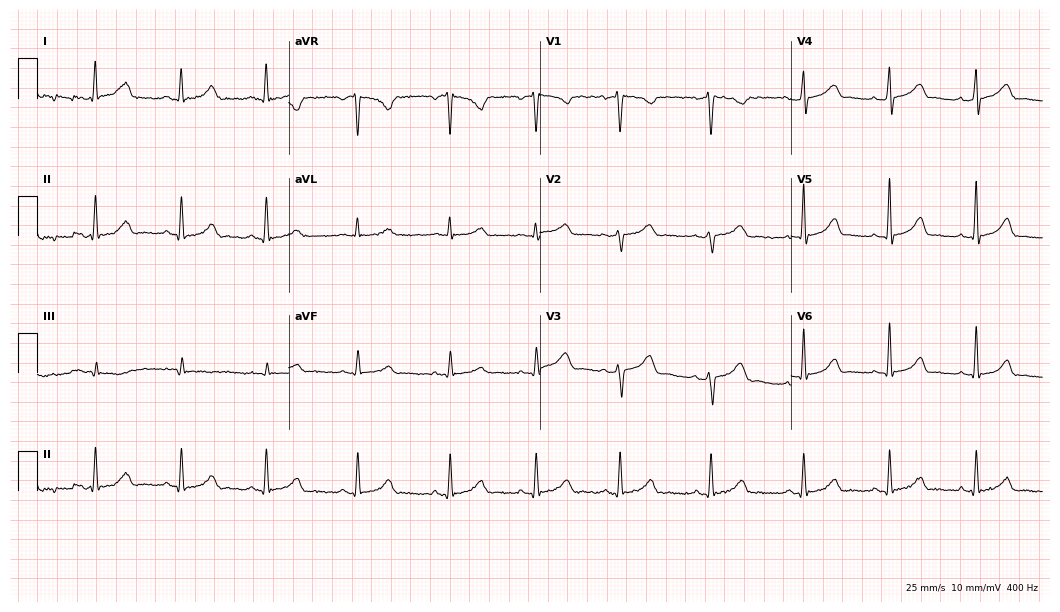
12-lead ECG from a female patient, 31 years old. Screened for six findings — first-degree AV block, right bundle branch block, left bundle branch block, sinus bradycardia, atrial fibrillation, sinus tachycardia — none is recorded.